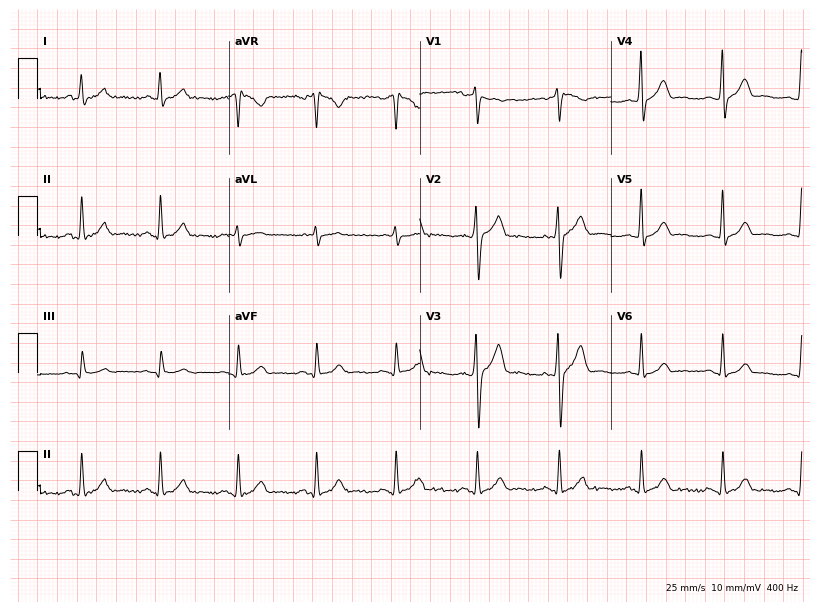
12-lead ECG from a 27-year-old man (7.8-second recording at 400 Hz). No first-degree AV block, right bundle branch block, left bundle branch block, sinus bradycardia, atrial fibrillation or sinus tachycardia recorded for this tracing. Only these six findings were labelled.